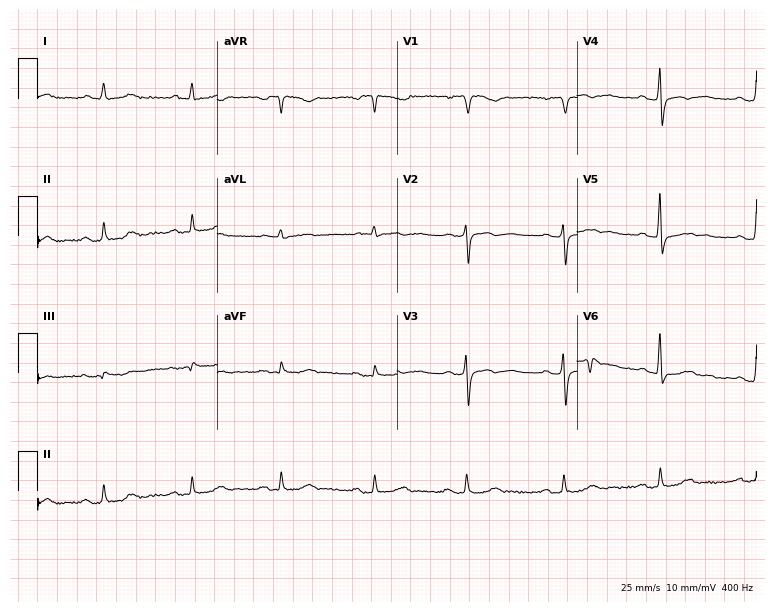
Standard 12-lead ECG recorded from a male, 70 years old (7.3-second recording at 400 Hz). None of these six findings is recorded: first-degree AV block, right bundle branch block, left bundle branch block, sinus bradycardia, atrial fibrillation, sinus tachycardia.